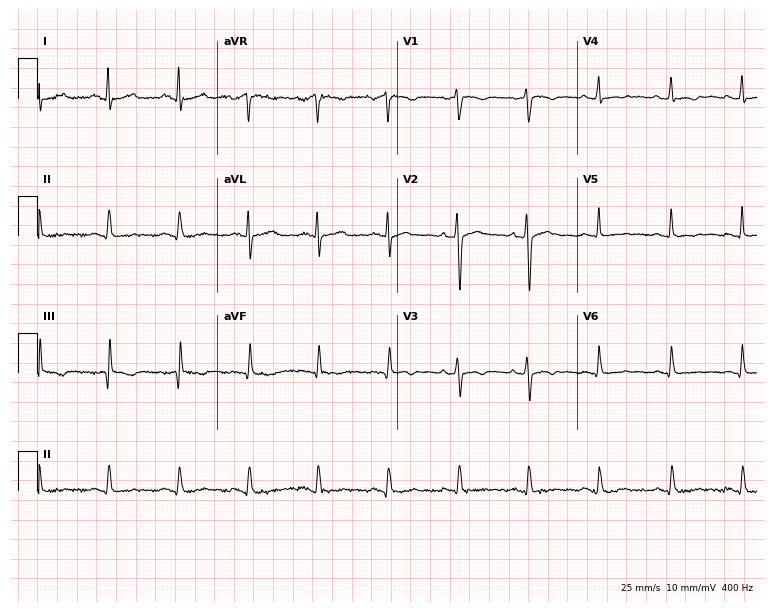
ECG (7.3-second recording at 400 Hz) — a 36-year-old female. Screened for six findings — first-degree AV block, right bundle branch block (RBBB), left bundle branch block (LBBB), sinus bradycardia, atrial fibrillation (AF), sinus tachycardia — none is recorded. Only these six findings were labelled.